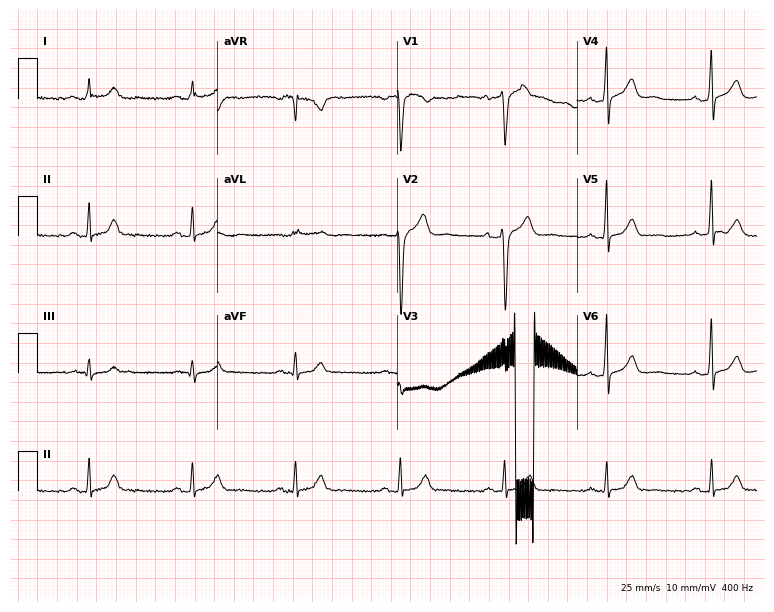
Standard 12-lead ECG recorded from a male, 53 years old (7.3-second recording at 400 Hz). Read as a normal ECG.